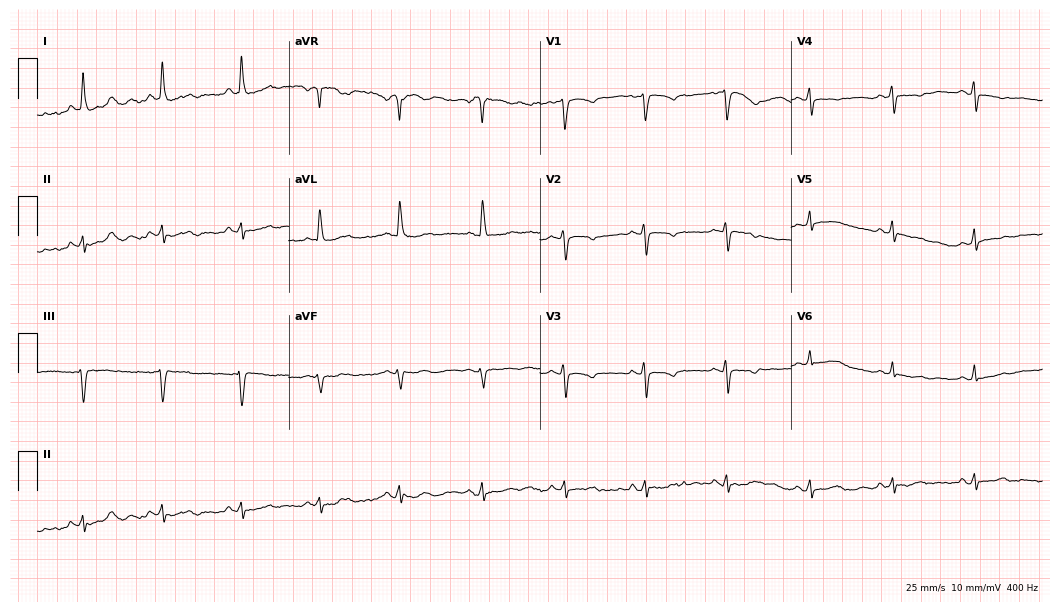
Standard 12-lead ECG recorded from a woman, 63 years old. None of these six findings is recorded: first-degree AV block, right bundle branch block, left bundle branch block, sinus bradycardia, atrial fibrillation, sinus tachycardia.